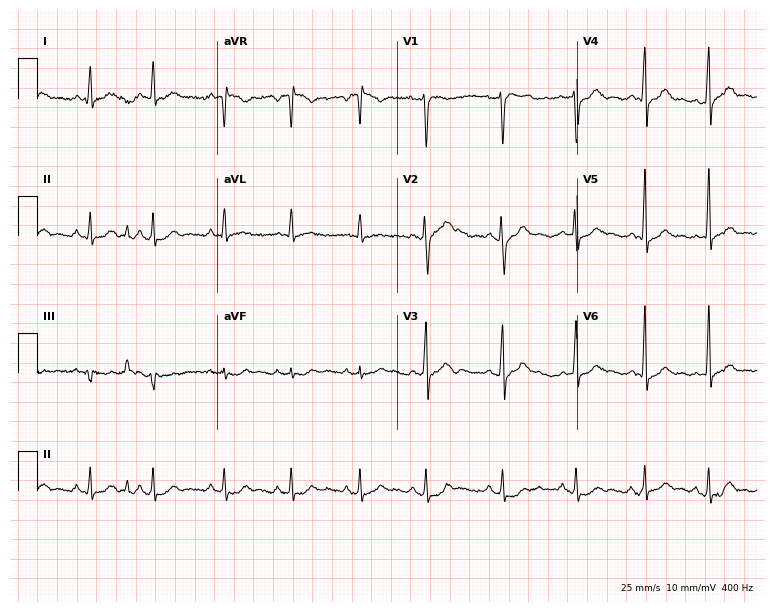
ECG (7.3-second recording at 400 Hz) — a male patient, 23 years old. Screened for six findings — first-degree AV block, right bundle branch block, left bundle branch block, sinus bradycardia, atrial fibrillation, sinus tachycardia — none is recorded.